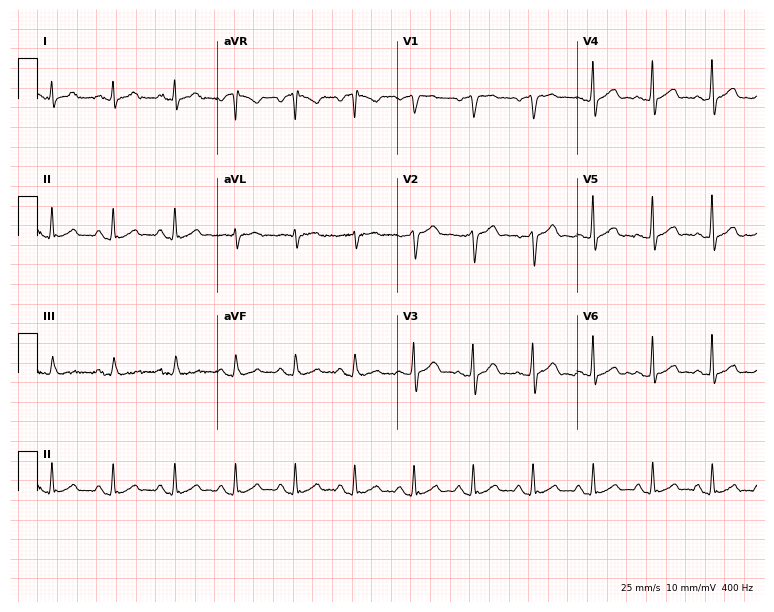
Electrocardiogram, a male, 43 years old. Overall reading on record: normal ECG.